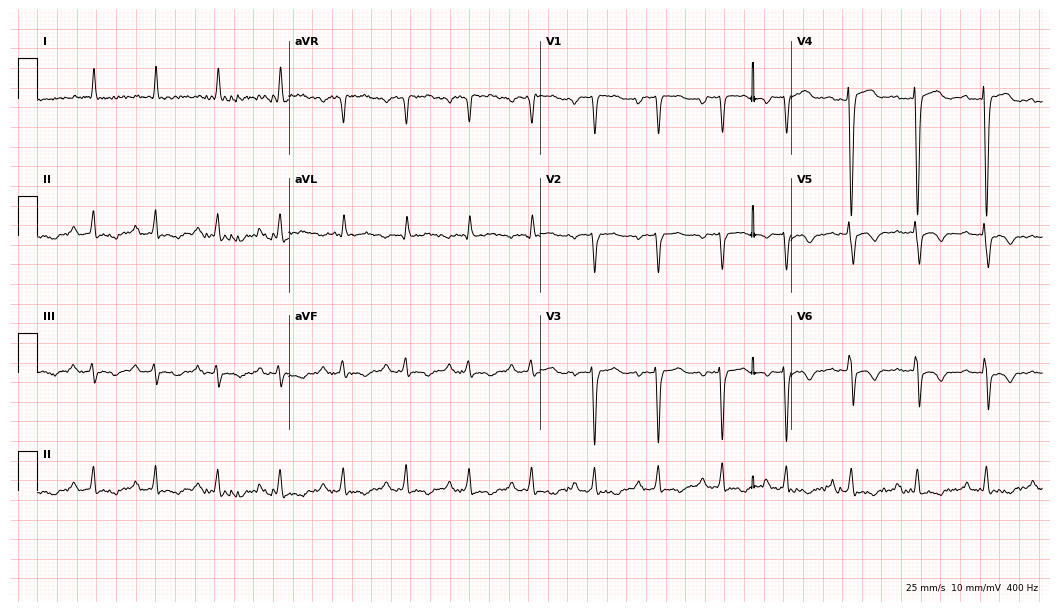
ECG — a 68-year-old female. Screened for six findings — first-degree AV block, right bundle branch block (RBBB), left bundle branch block (LBBB), sinus bradycardia, atrial fibrillation (AF), sinus tachycardia — none is recorded.